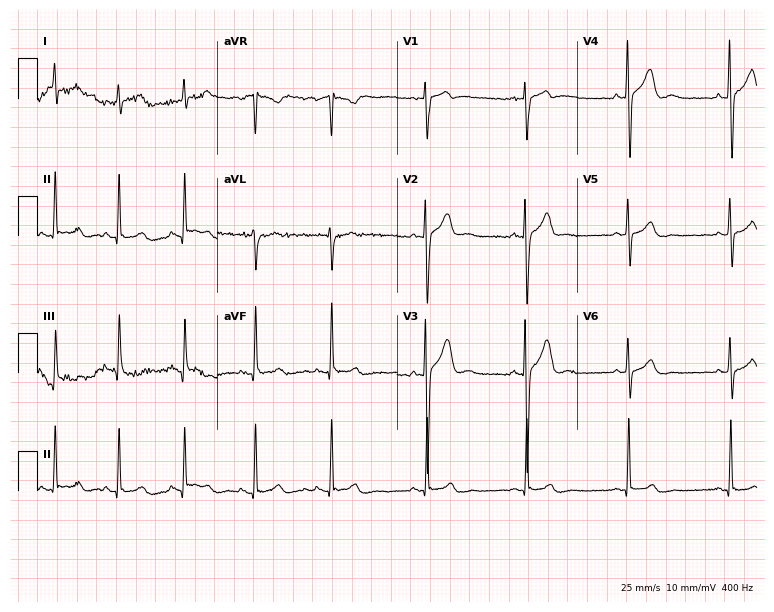
12-lead ECG from a man, 21 years old (7.3-second recording at 400 Hz). Recorded interpretation: within normal limits.